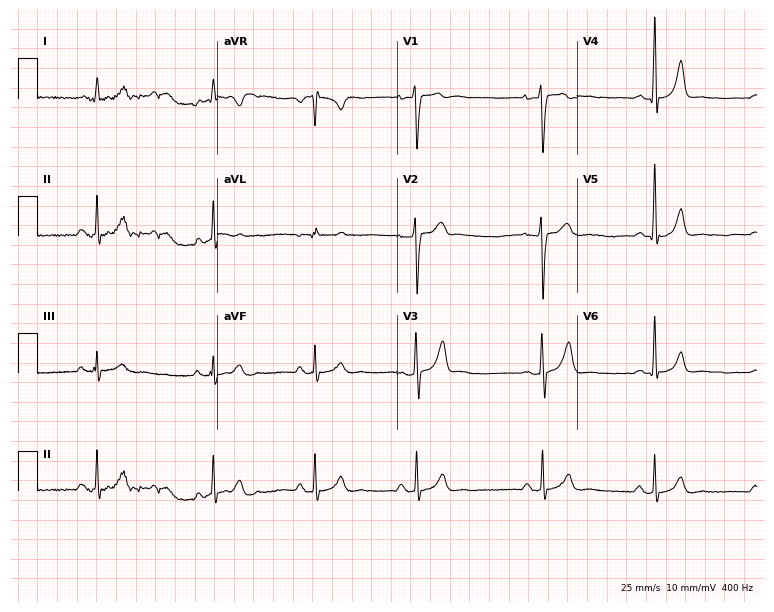
Electrocardiogram (7.3-second recording at 400 Hz), a 24-year-old man. Overall reading on record: normal ECG.